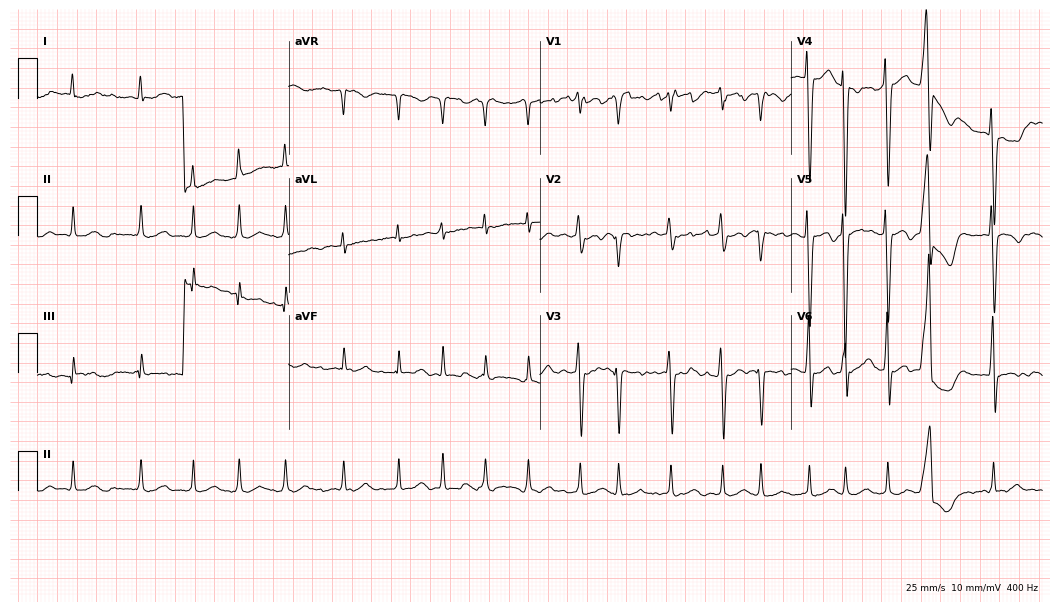
12-lead ECG (10.2-second recording at 400 Hz) from a male patient, 79 years old. Findings include atrial fibrillation.